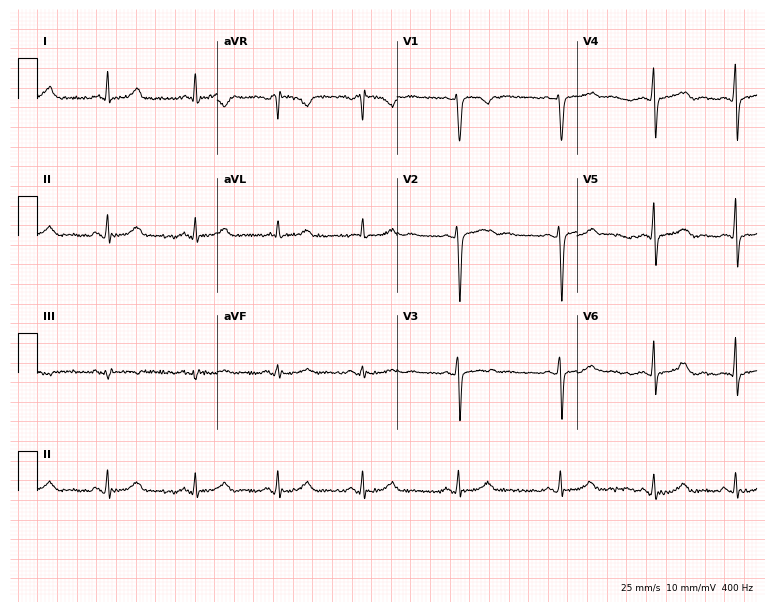
12-lead ECG from a 38-year-old female. Labelled as a normal ECG.